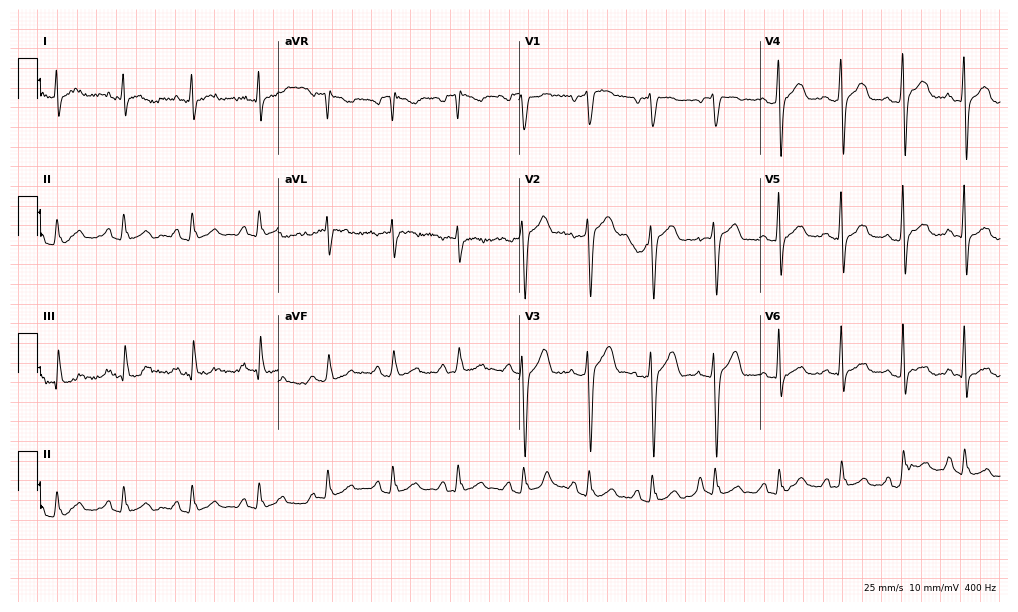
ECG — a 36-year-old male patient. Screened for six findings — first-degree AV block, right bundle branch block (RBBB), left bundle branch block (LBBB), sinus bradycardia, atrial fibrillation (AF), sinus tachycardia — none is recorded. Findings outside these six are not listed.